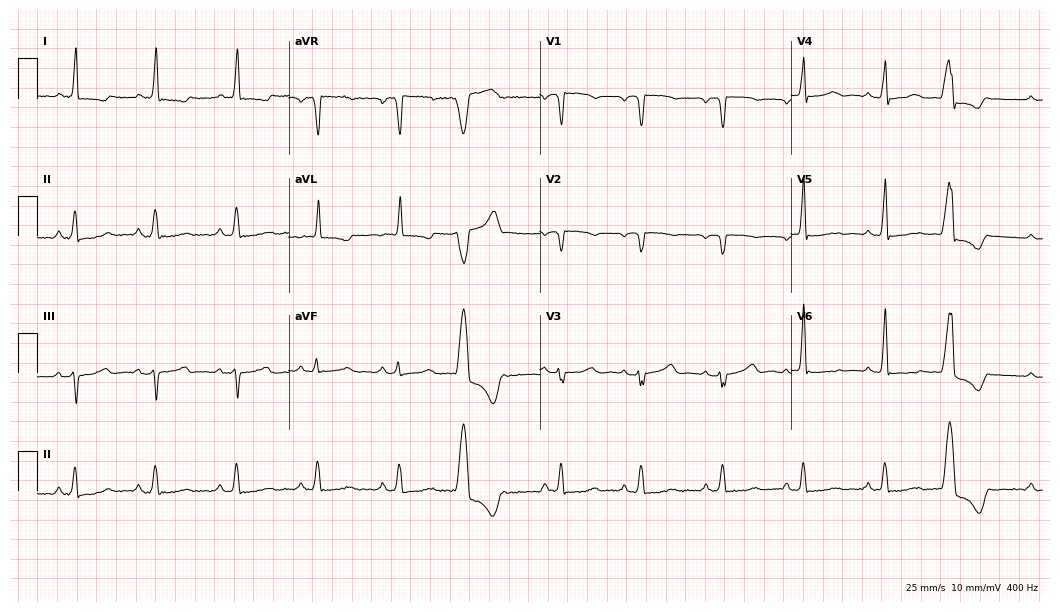
ECG (10.2-second recording at 400 Hz) — a 60-year-old woman. Screened for six findings — first-degree AV block, right bundle branch block, left bundle branch block, sinus bradycardia, atrial fibrillation, sinus tachycardia — none is recorded.